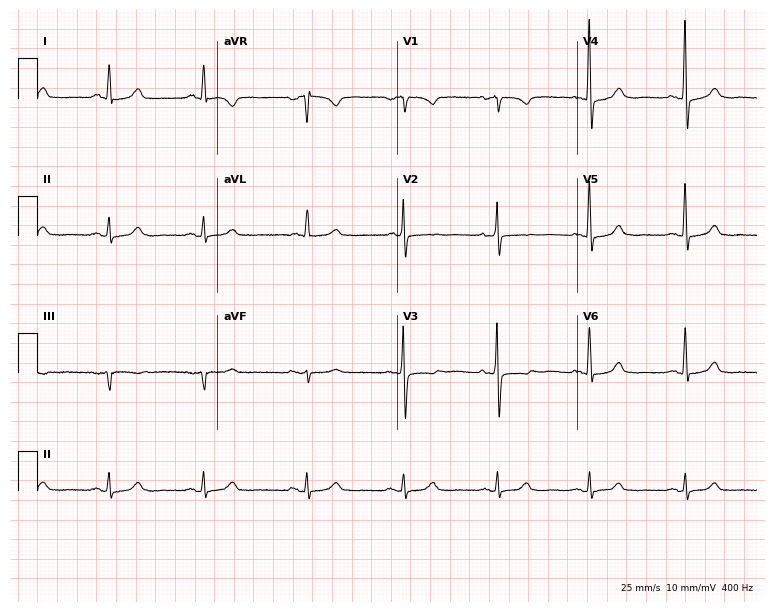
Electrocardiogram, a 66-year-old female. Overall reading on record: normal ECG.